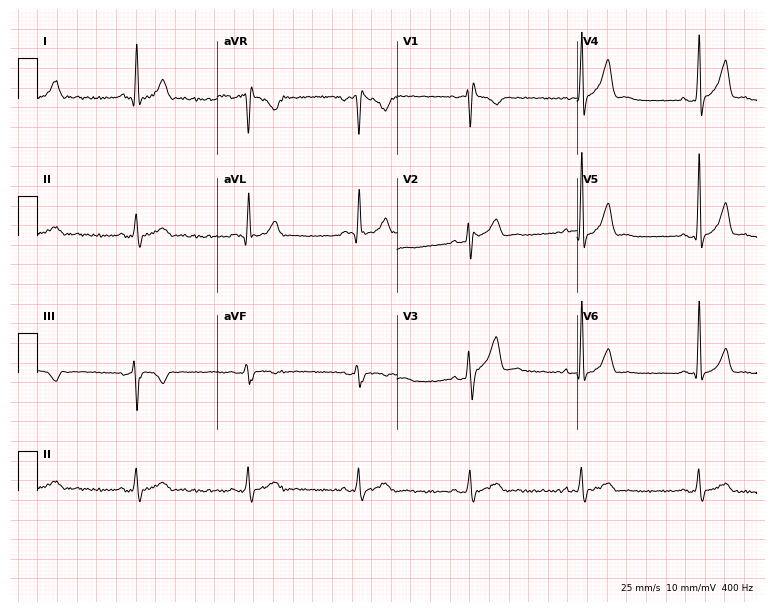
Resting 12-lead electrocardiogram. Patient: a 38-year-old man. None of these six findings is recorded: first-degree AV block, right bundle branch block (RBBB), left bundle branch block (LBBB), sinus bradycardia, atrial fibrillation (AF), sinus tachycardia.